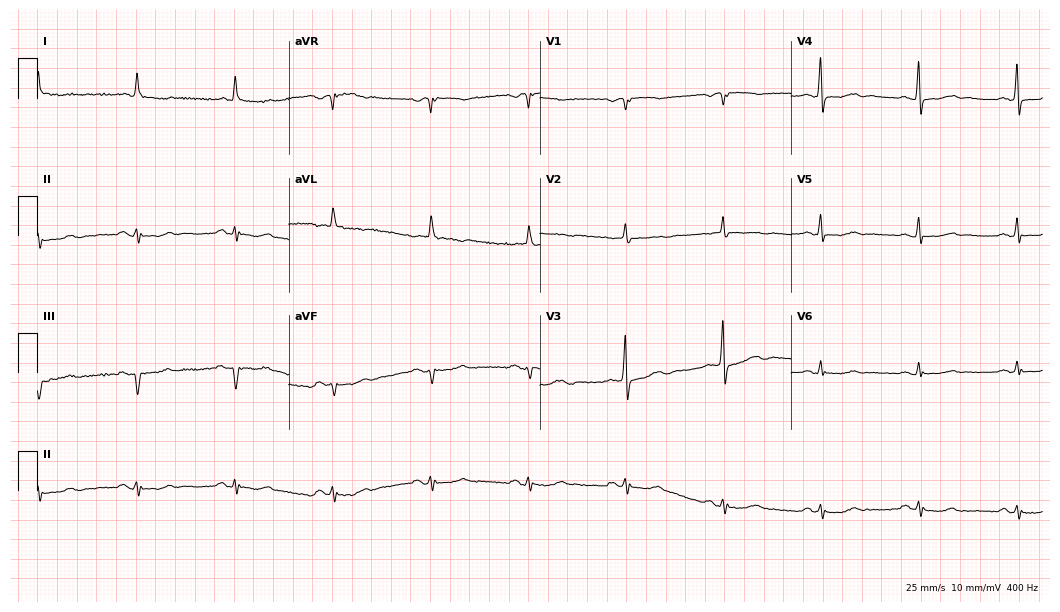
Standard 12-lead ECG recorded from a male, 79 years old. None of these six findings is recorded: first-degree AV block, right bundle branch block, left bundle branch block, sinus bradycardia, atrial fibrillation, sinus tachycardia.